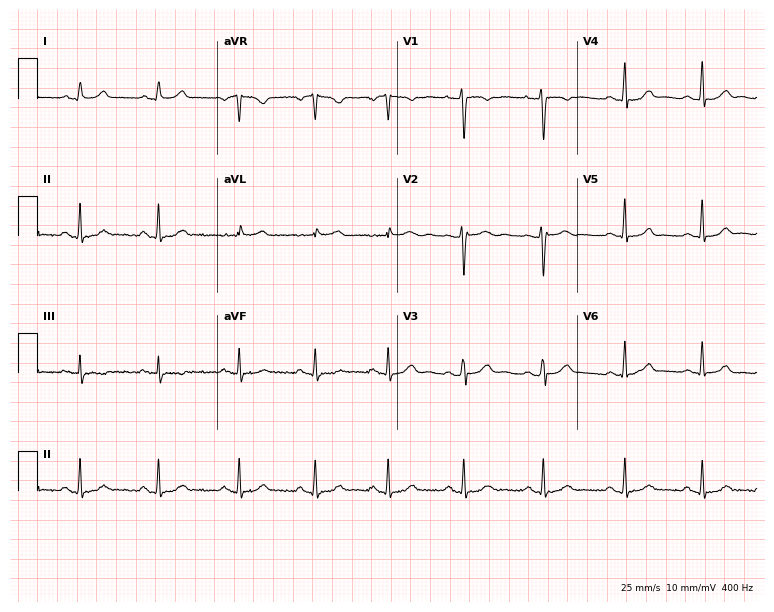
ECG (7.3-second recording at 400 Hz) — a female, 39 years old. Screened for six findings — first-degree AV block, right bundle branch block (RBBB), left bundle branch block (LBBB), sinus bradycardia, atrial fibrillation (AF), sinus tachycardia — none is recorded. Findings outside these six are not listed.